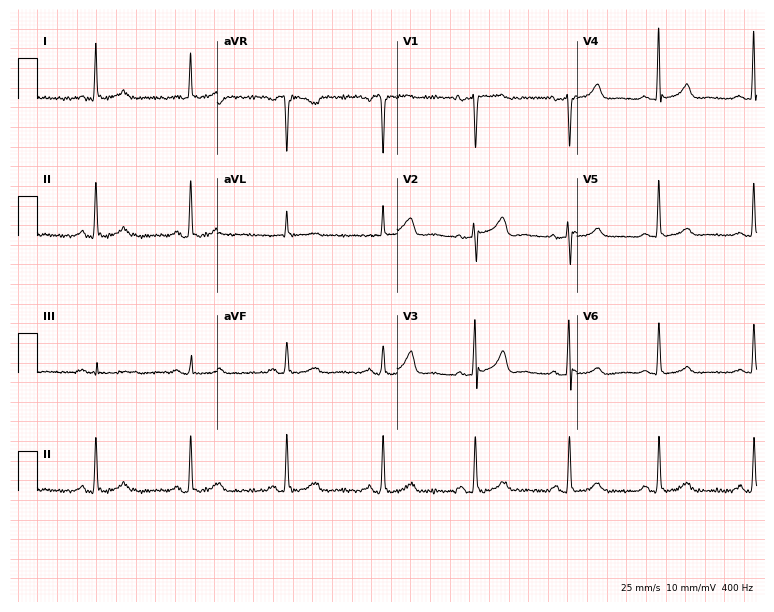
12-lead ECG (7.3-second recording at 400 Hz) from a 55-year-old female patient. Labelled as a normal ECG.